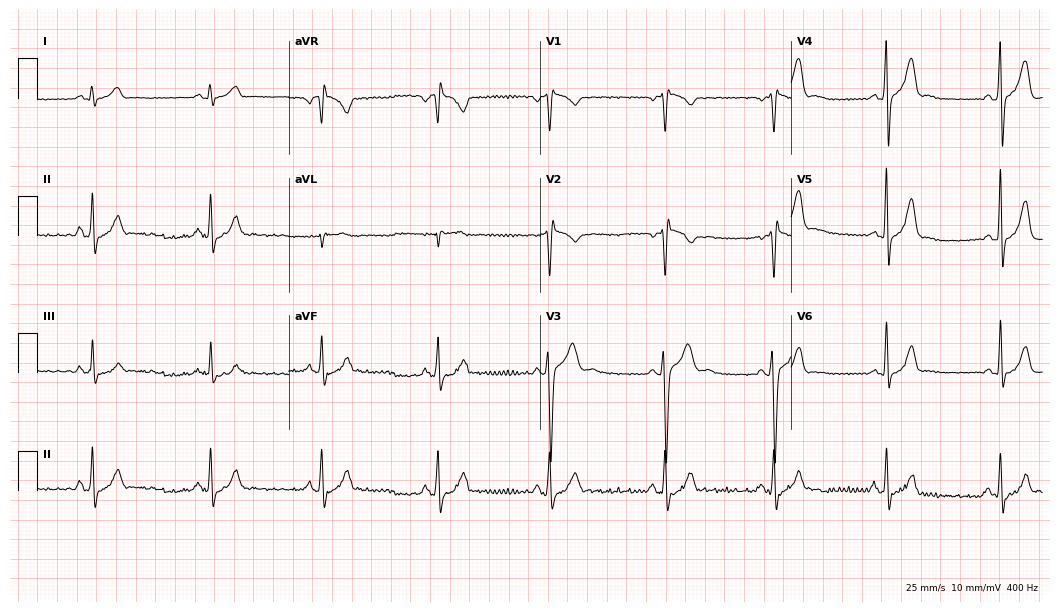
Resting 12-lead electrocardiogram (10.2-second recording at 400 Hz). Patient: a 20-year-old male. None of these six findings is recorded: first-degree AV block, right bundle branch block (RBBB), left bundle branch block (LBBB), sinus bradycardia, atrial fibrillation (AF), sinus tachycardia. Findings outside these six are not listed.